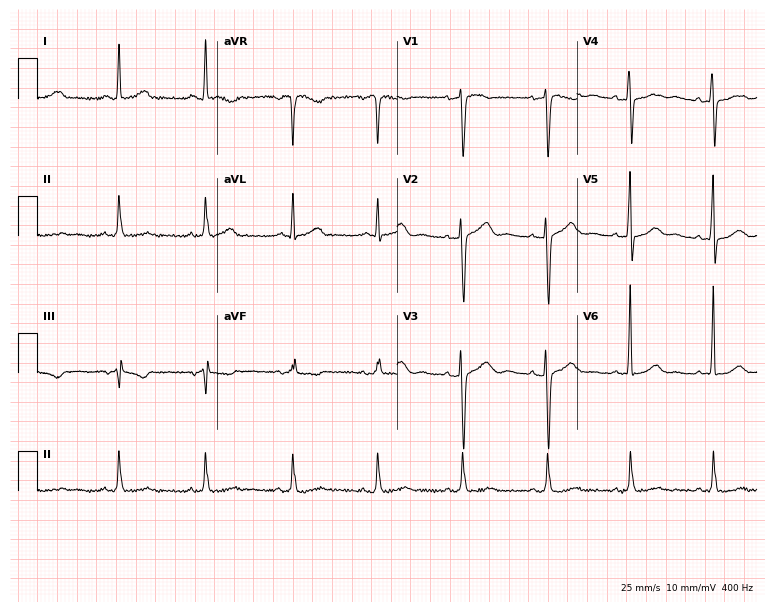
12-lead ECG from a woman, 52 years old. Screened for six findings — first-degree AV block, right bundle branch block (RBBB), left bundle branch block (LBBB), sinus bradycardia, atrial fibrillation (AF), sinus tachycardia — none is recorded. Findings outside these six are not listed.